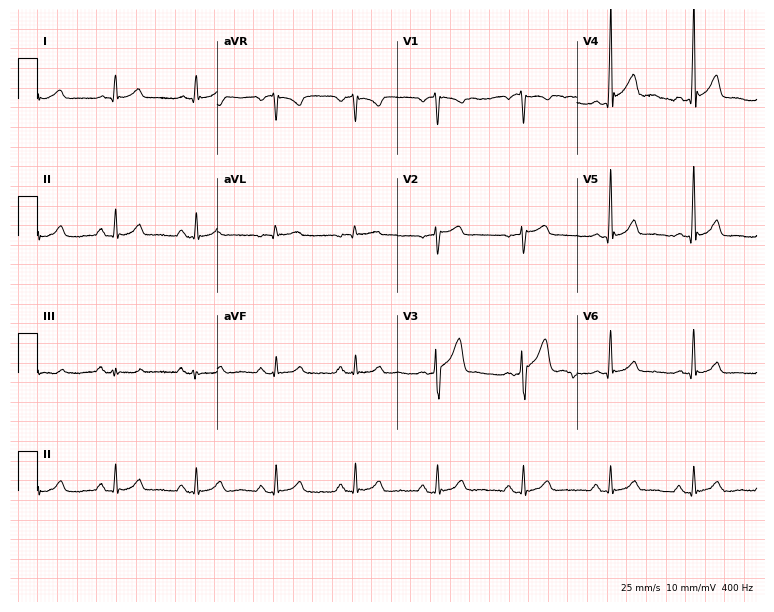
Standard 12-lead ECG recorded from a man, 57 years old (7.3-second recording at 400 Hz). Read as a normal ECG.